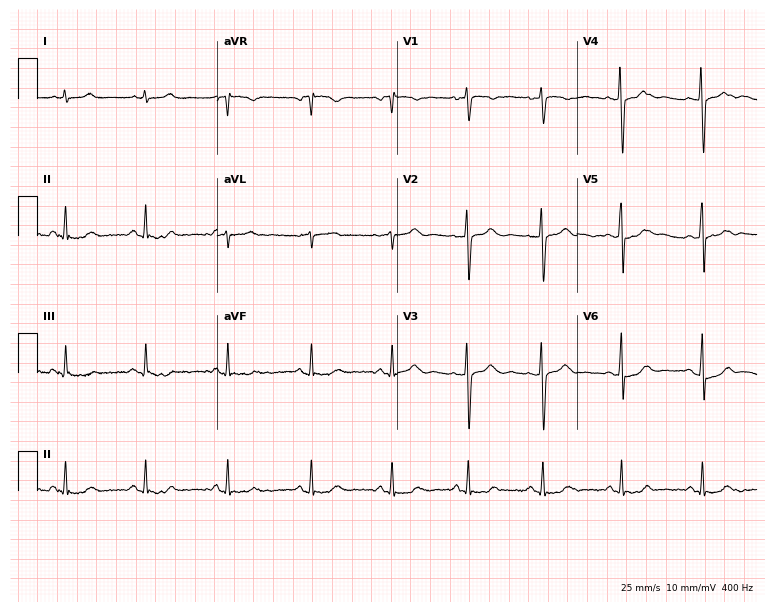
12-lead ECG from a woman, 28 years old. Screened for six findings — first-degree AV block, right bundle branch block, left bundle branch block, sinus bradycardia, atrial fibrillation, sinus tachycardia — none is recorded. Only these six findings were labelled.